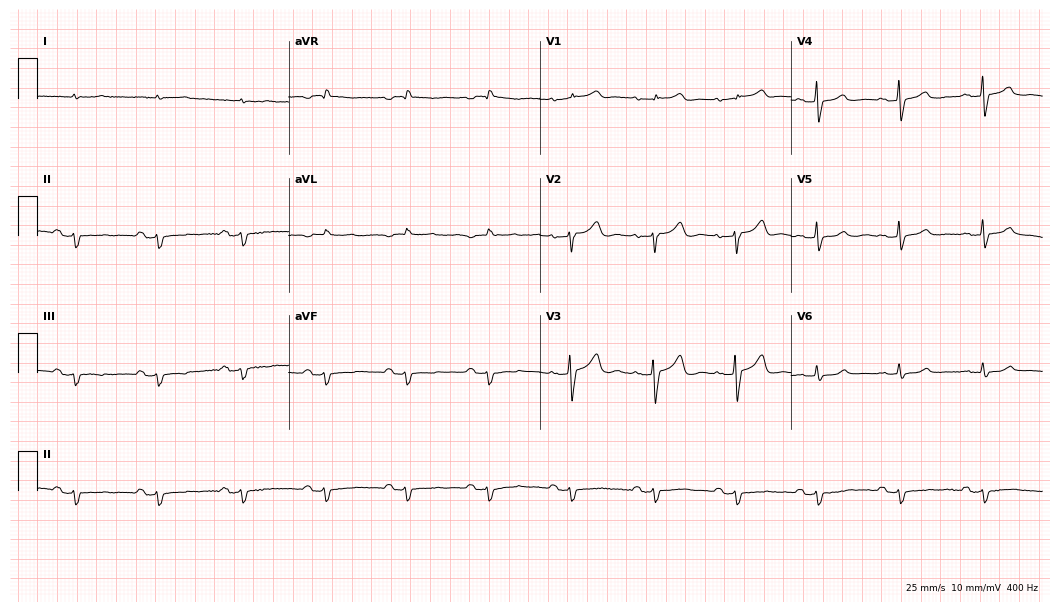
12-lead ECG from a 75-year-old male patient. Recorded interpretation: within normal limits.